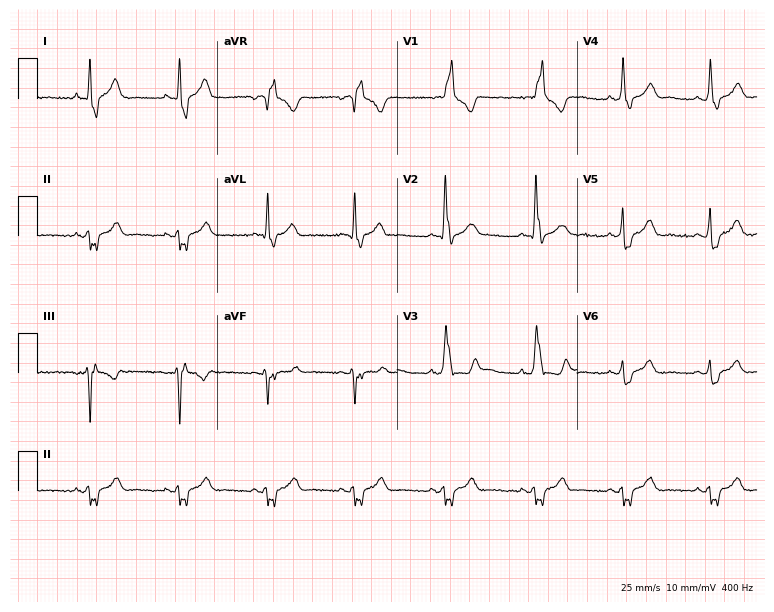
Electrocardiogram, a 45-year-old male. Of the six screened findings (first-degree AV block, right bundle branch block (RBBB), left bundle branch block (LBBB), sinus bradycardia, atrial fibrillation (AF), sinus tachycardia), none is recorded. Other findings, if any, are not listed.